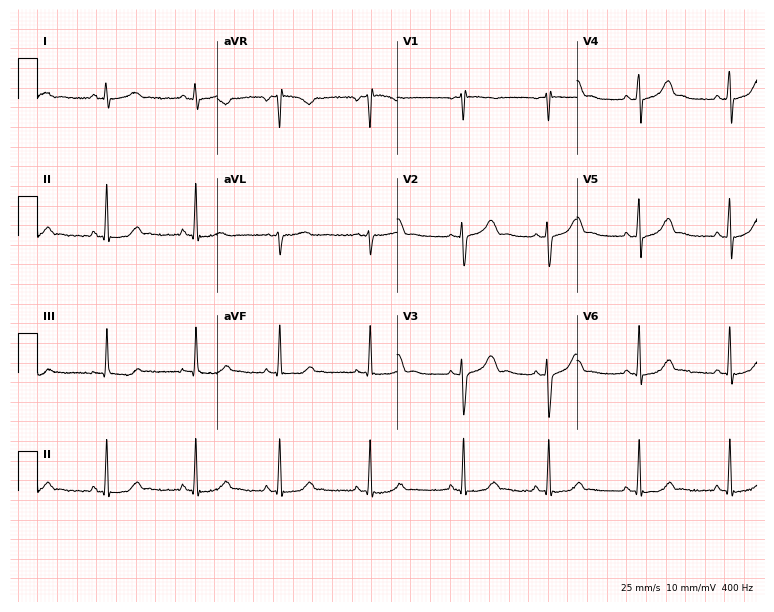
Electrocardiogram (7.3-second recording at 400 Hz), a 19-year-old male patient. Overall reading on record: normal ECG.